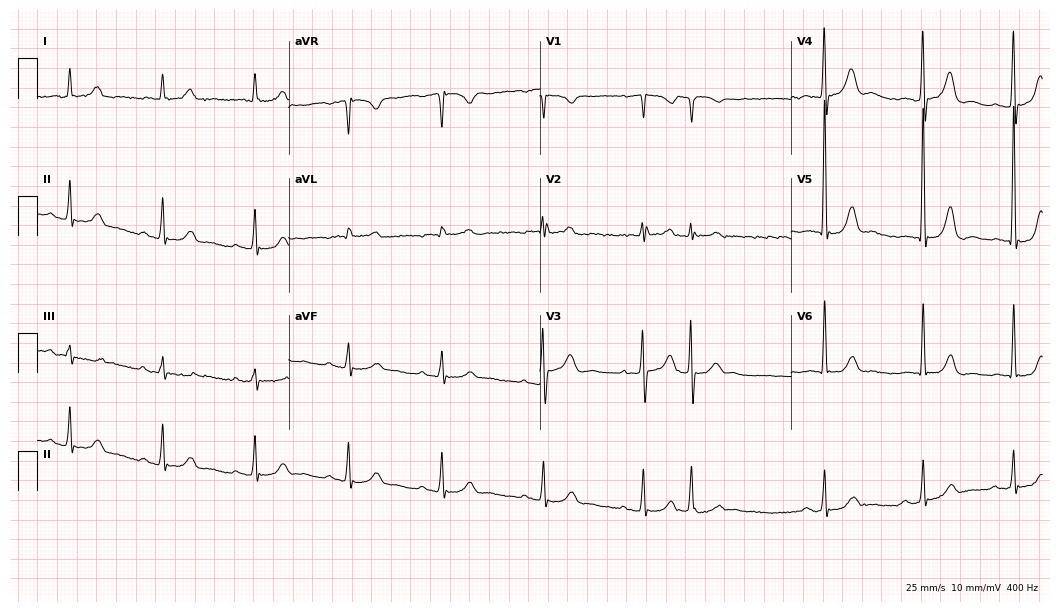
12-lead ECG from a 67-year-old woman. Labelled as a normal ECG.